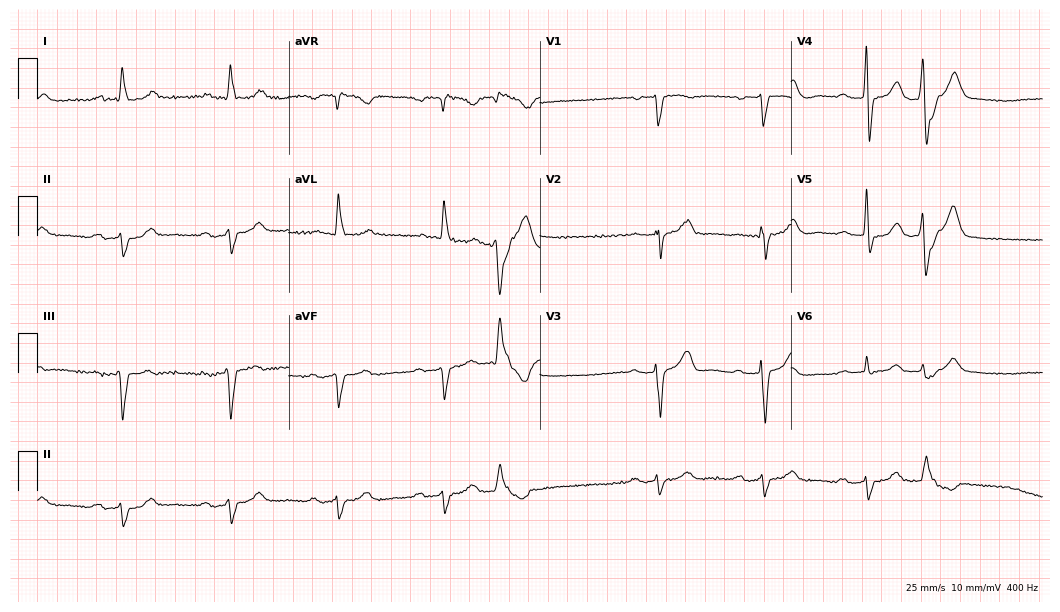
Resting 12-lead electrocardiogram. Patient: a male, 83 years old. The tracing shows first-degree AV block.